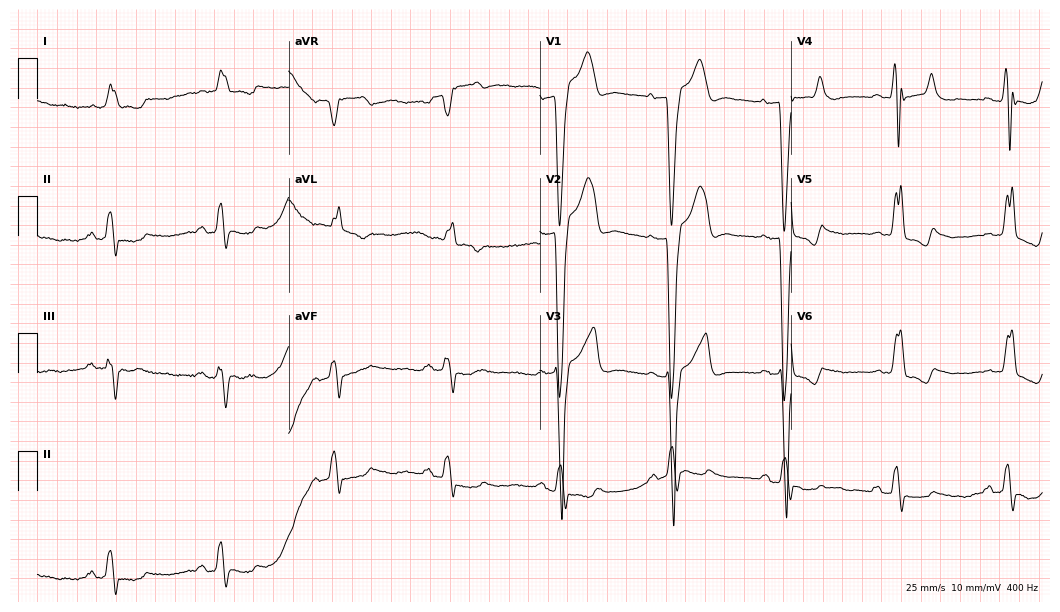
Resting 12-lead electrocardiogram (10.2-second recording at 400 Hz). Patient: a male, 80 years old. The tracing shows left bundle branch block (LBBB).